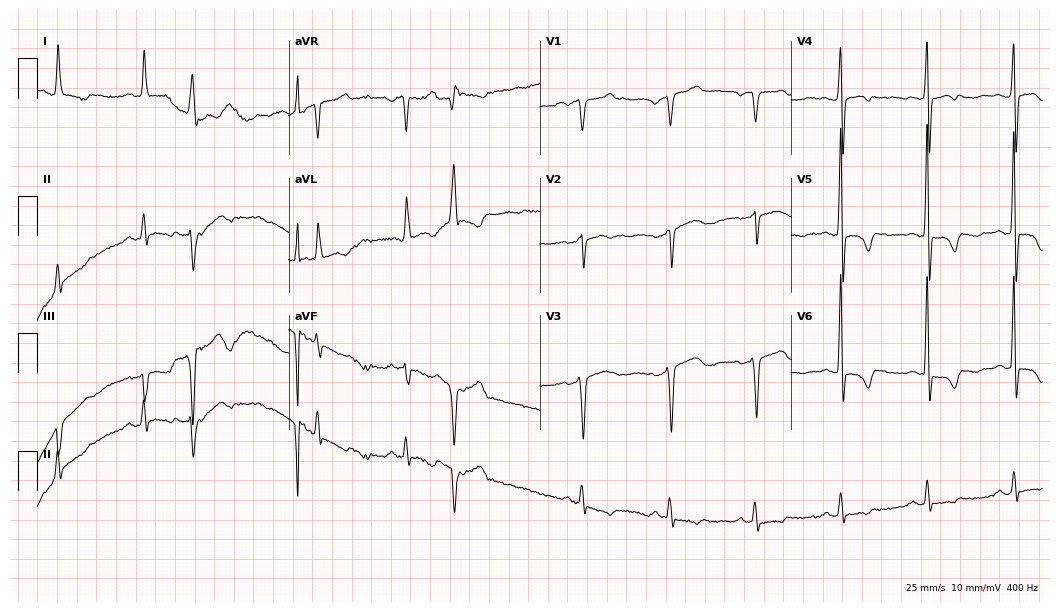
12-lead ECG (10.2-second recording at 400 Hz) from a female, 61 years old. Screened for six findings — first-degree AV block, right bundle branch block, left bundle branch block, sinus bradycardia, atrial fibrillation, sinus tachycardia — none is recorded. Findings outside these six are not listed.